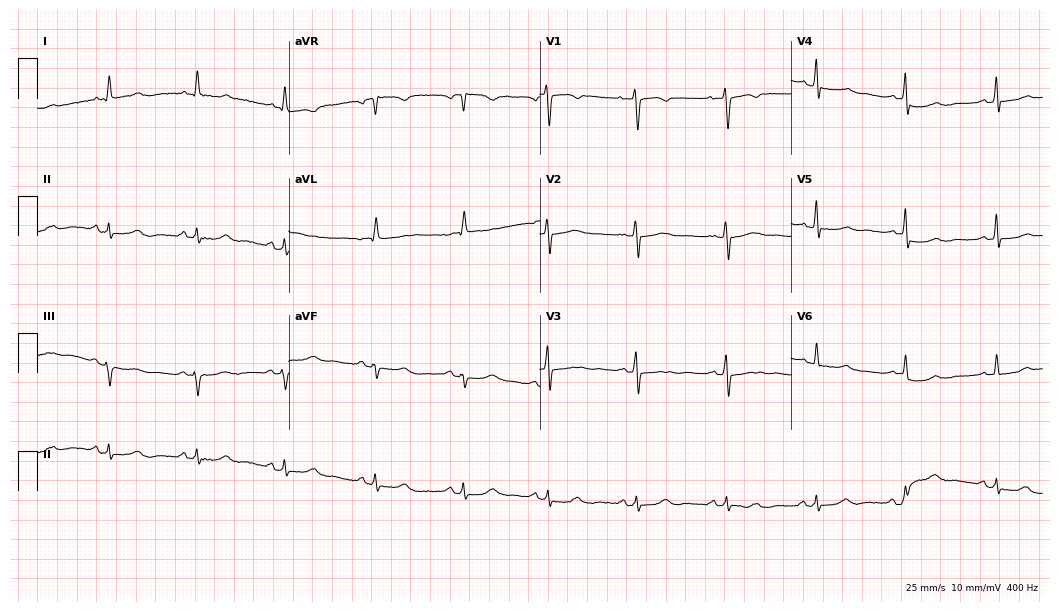
ECG — a 71-year-old female patient. Labelled as a normal ECG.